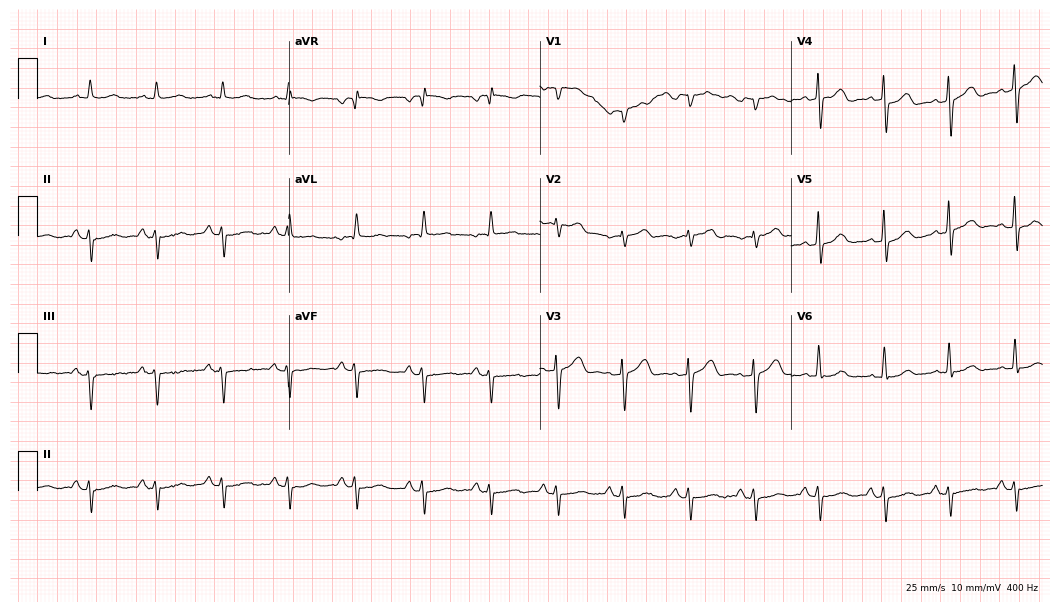
12-lead ECG from a male, 75 years old. No first-degree AV block, right bundle branch block (RBBB), left bundle branch block (LBBB), sinus bradycardia, atrial fibrillation (AF) or sinus tachycardia recorded for this tracing.